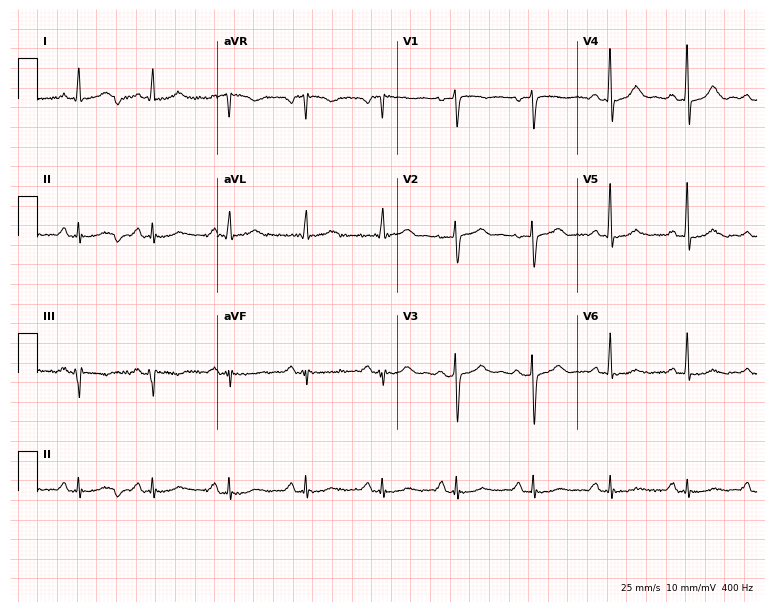
12-lead ECG from a woman, 71 years old (7.3-second recording at 400 Hz). No first-degree AV block, right bundle branch block (RBBB), left bundle branch block (LBBB), sinus bradycardia, atrial fibrillation (AF) or sinus tachycardia recorded for this tracing. Only these six findings were labelled.